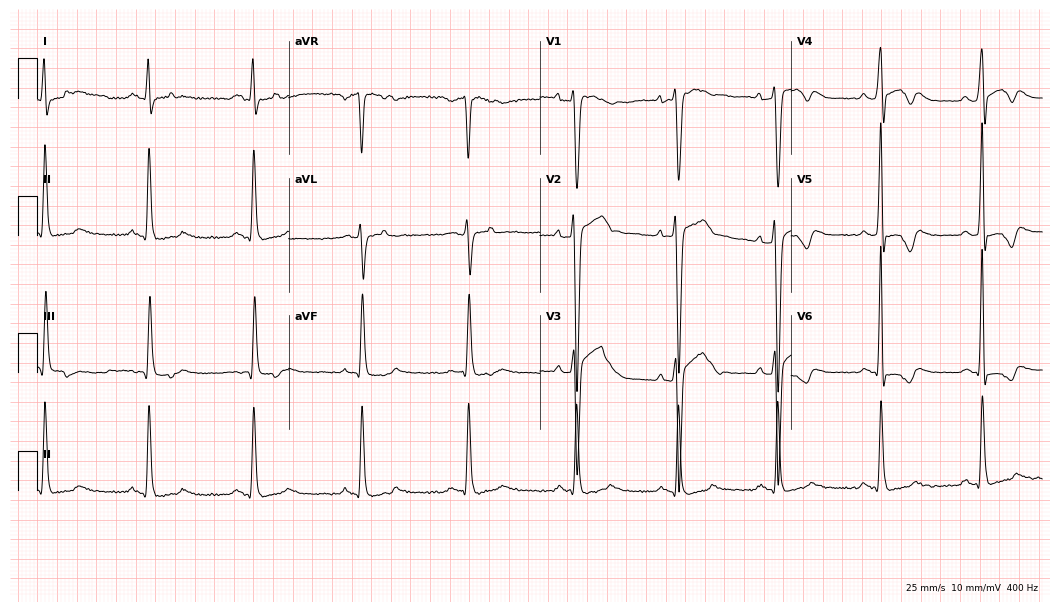
Resting 12-lead electrocardiogram (10.2-second recording at 400 Hz). Patient: a man, 30 years old. None of these six findings is recorded: first-degree AV block, right bundle branch block, left bundle branch block, sinus bradycardia, atrial fibrillation, sinus tachycardia. Other findings, if any, are not listed.